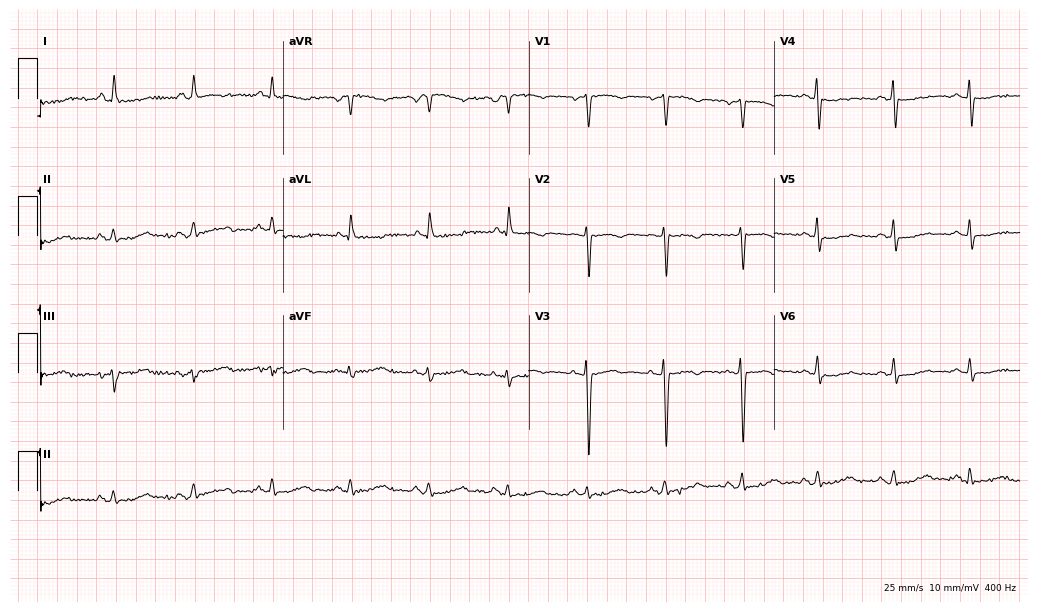
12-lead ECG from a 54-year-old female (10-second recording at 400 Hz). Recorded interpretation: within normal limits.